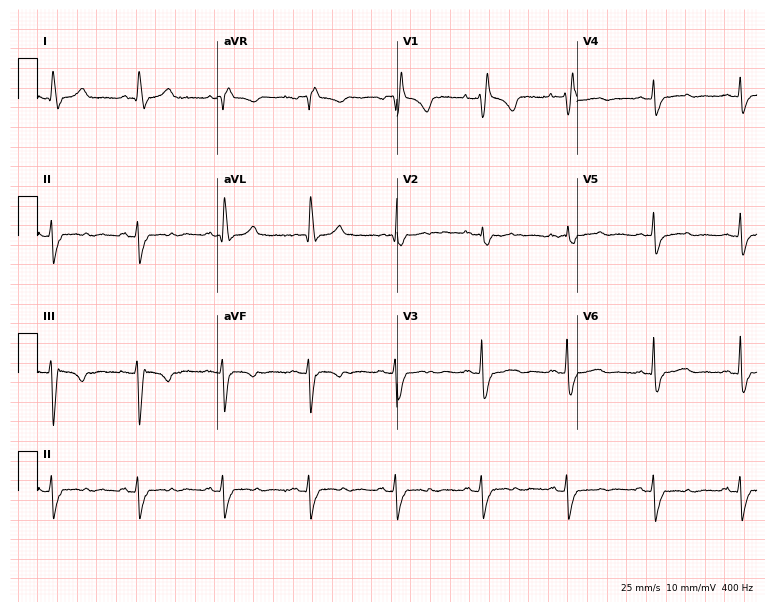
Resting 12-lead electrocardiogram. Patient: a 57-year-old female. The tracing shows right bundle branch block.